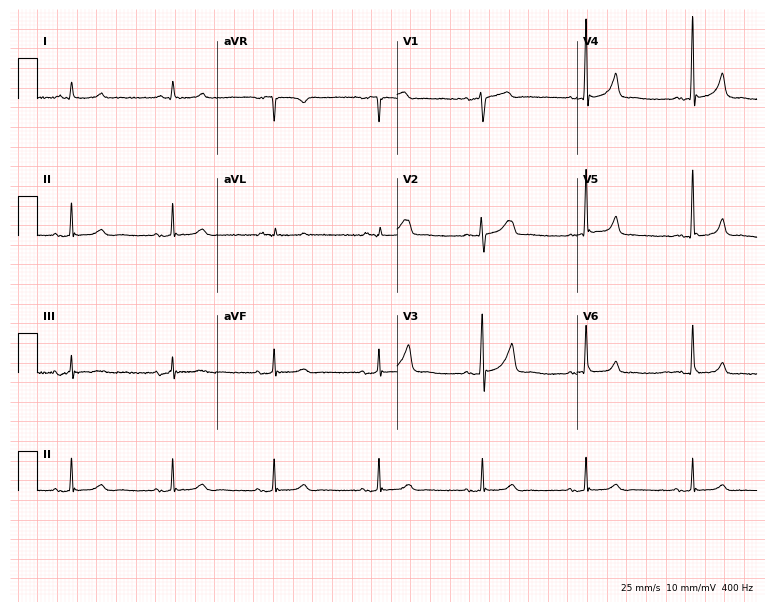
Resting 12-lead electrocardiogram (7.3-second recording at 400 Hz). Patient: a 70-year-old man. Read as a normal ECG.